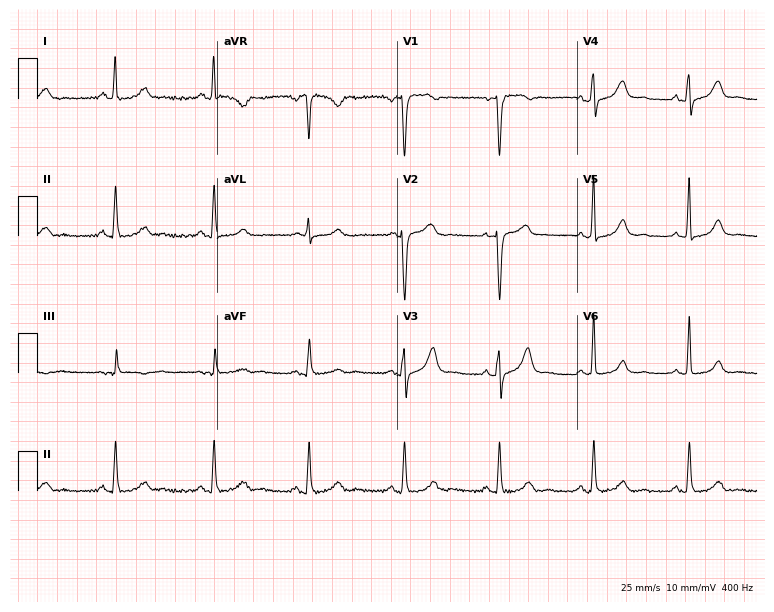
12-lead ECG from a woman, 49 years old. Labelled as a normal ECG.